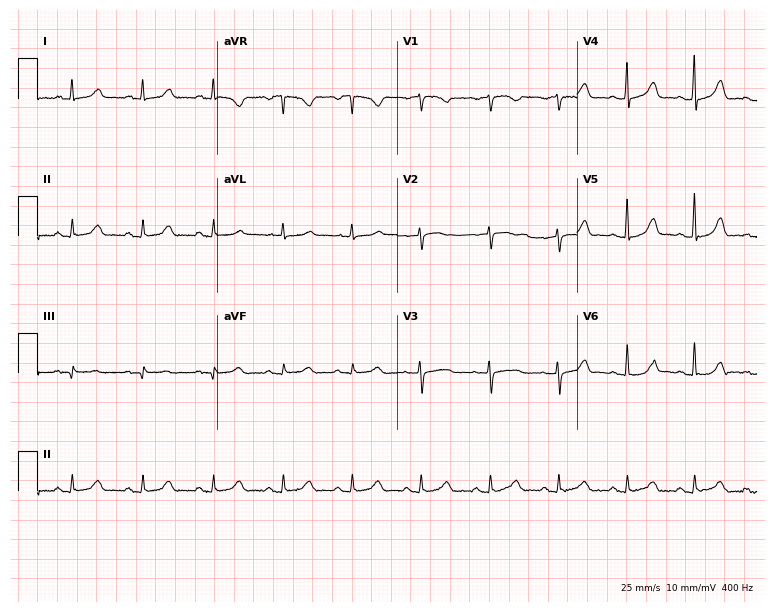
ECG (7.3-second recording at 400 Hz) — a woman, 64 years old. Screened for six findings — first-degree AV block, right bundle branch block, left bundle branch block, sinus bradycardia, atrial fibrillation, sinus tachycardia — none is recorded. Findings outside these six are not listed.